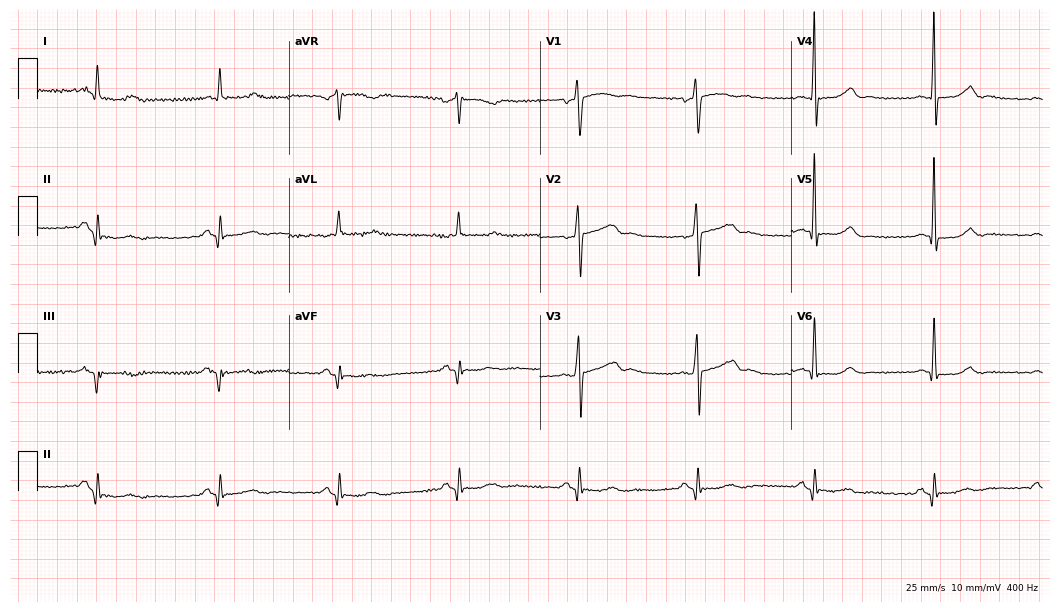
Electrocardiogram, a male patient, 52 years old. Of the six screened findings (first-degree AV block, right bundle branch block, left bundle branch block, sinus bradycardia, atrial fibrillation, sinus tachycardia), none is recorded.